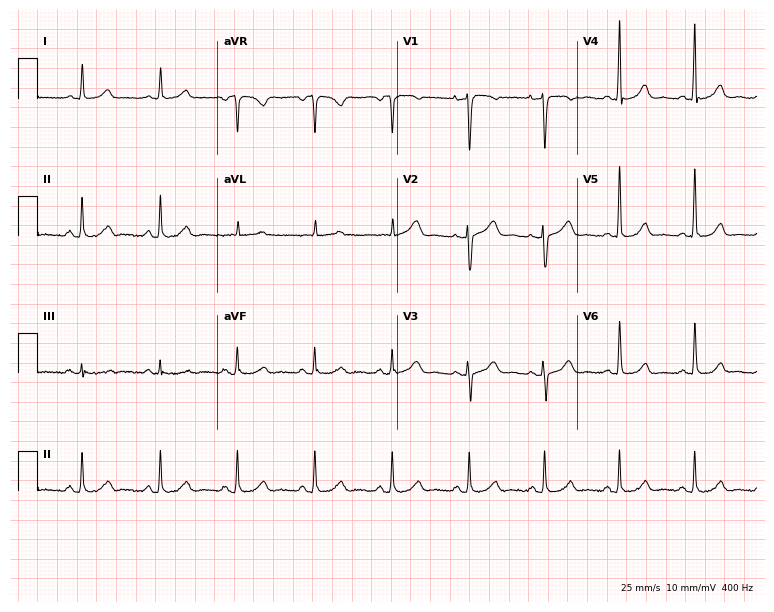
Standard 12-lead ECG recorded from a 51-year-old woman. Read as a normal ECG.